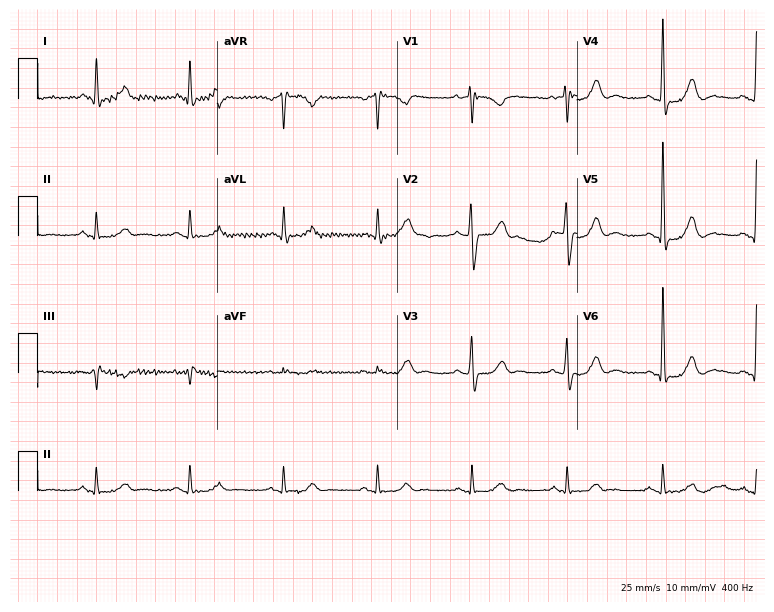
ECG (7.3-second recording at 400 Hz) — a 75-year-old male patient. Labelled as a normal ECG.